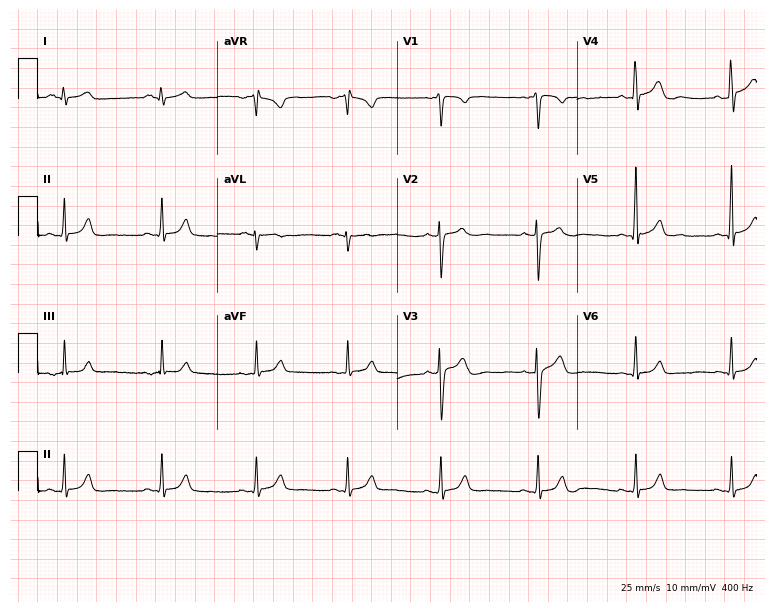
12-lead ECG from a 29-year-old male (7.3-second recording at 400 Hz). No first-degree AV block, right bundle branch block, left bundle branch block, sinus bradycardia, atrial fibrillation or sinus tachycardia recorded for this tracing. Other findings, if any, are not listed.